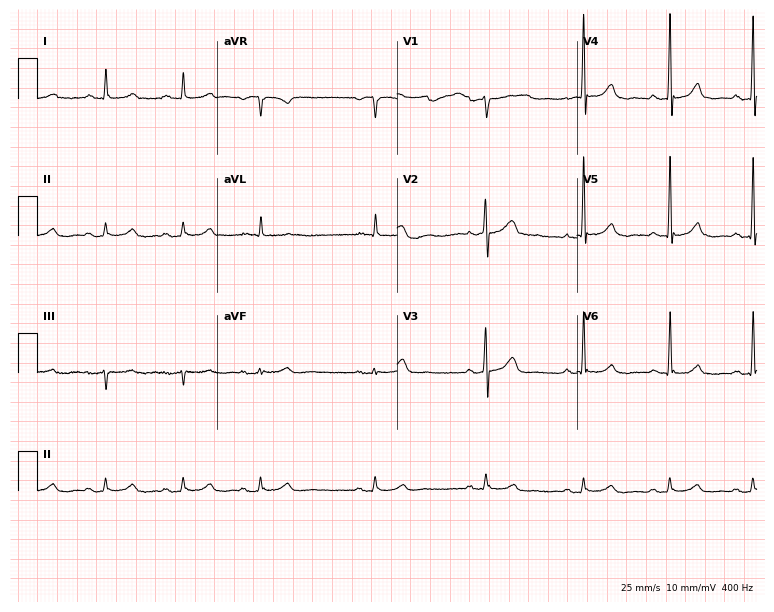
ECG (7.3-second recording at 400 Hz) — a male patient, 66 years old. Labelled as a normal ECG.